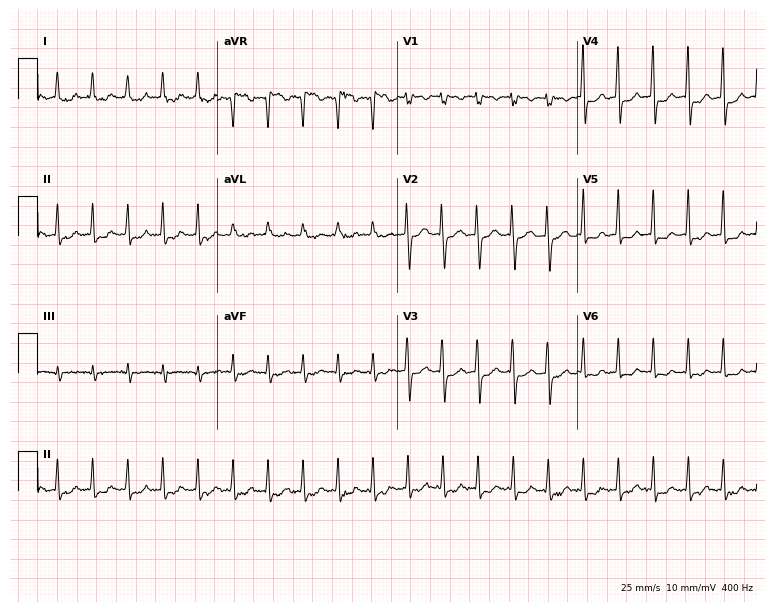
Standard 12-lead ECG recorded from a 71-year-old female patient (7.3-second recording at 400 Hz). None of these six findings is recorded: first-degree AV block, right bundle branch block (RBBB), left bundle branch block (LBBB), sinus bradycardia, atrial fibrillation (AF), sinus tachycardia.